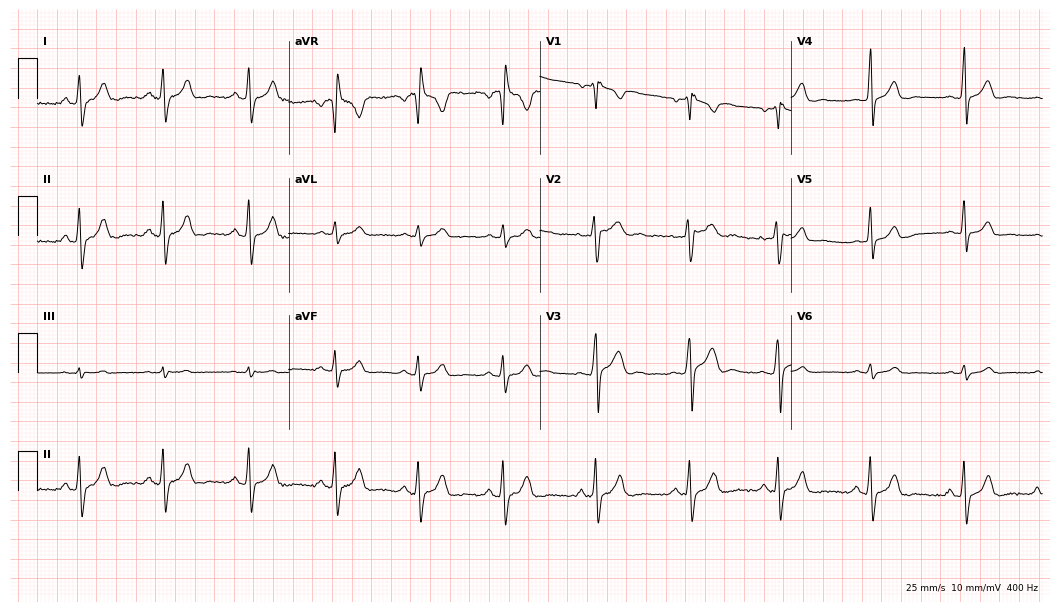
12-lead ECG (10.2-second recording at 400 Hz) from a male, 22 years old. Screened for six findings — first-degree AV block, right bundle branch block (RBBB), left bundle branch block (LBBB), sinus bradycardia, atrial fibrillation (AF), sinus tachycardia — none is recorded. Other findings, if any, are not listed.